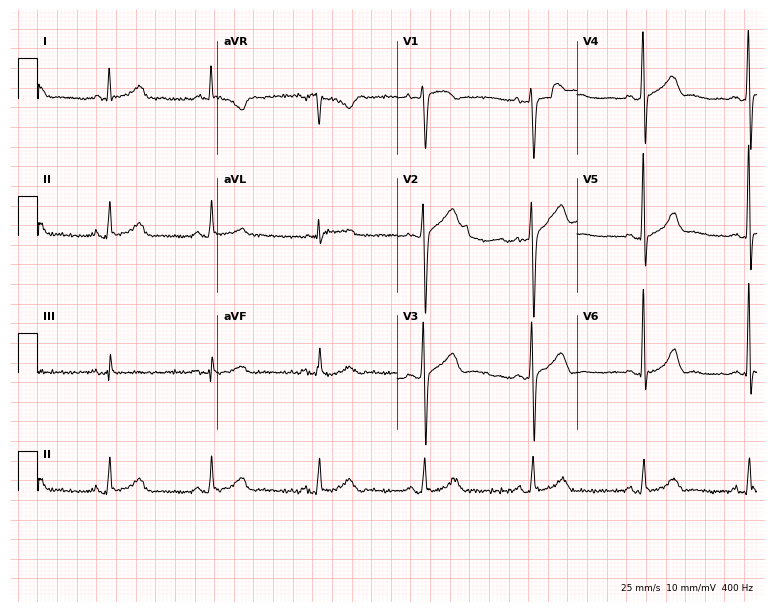
Electrocardiogram, a 26-year-old man. Overall reading on record: normal ECG.